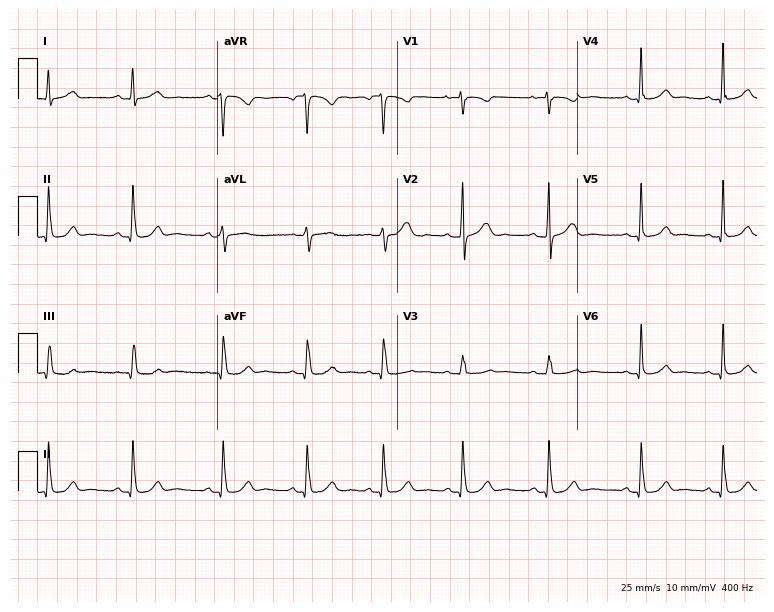
12-lead ECG from a 23-year-old woman. Recorded interpretation: within normal limits.